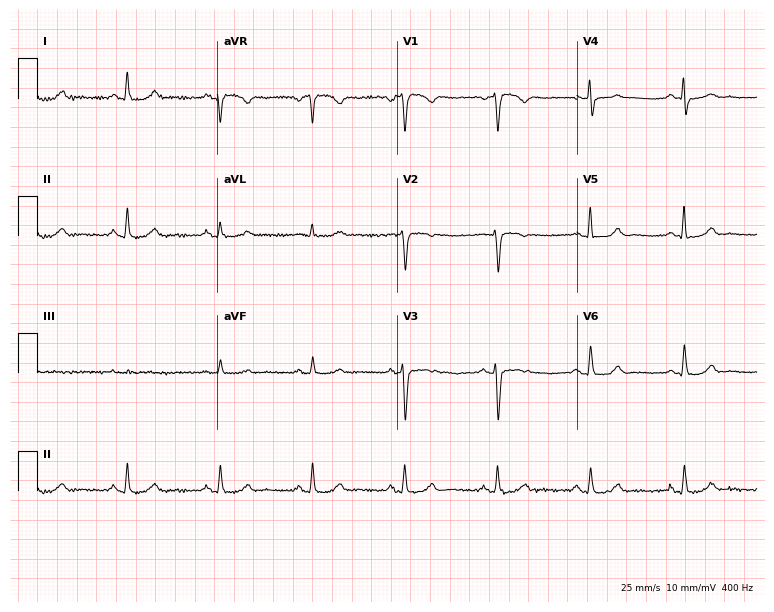
ECG — a male, 53 years old. Screened for six findings — first-degree AV block, right bundle branch block, left bundle branch block, sinus bradycardia, atrial fibrillation, sinus tachycardia — none is recorded.